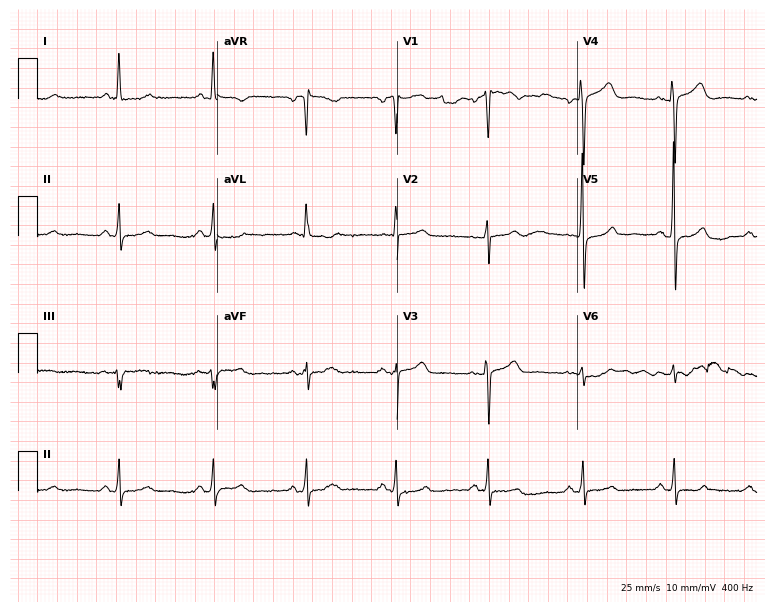
ECG (7.3-second recording at 400 Hz) — a 52-year-old female patient. Screened for six findings — first-degree AV block, right bundle branch block (RBBB), left bundle branch block (LBBB), sinus bradycardia, atrial fibrillation (AF), sinus tachycardia — none is recorded. Other findings, if any, are not listed.